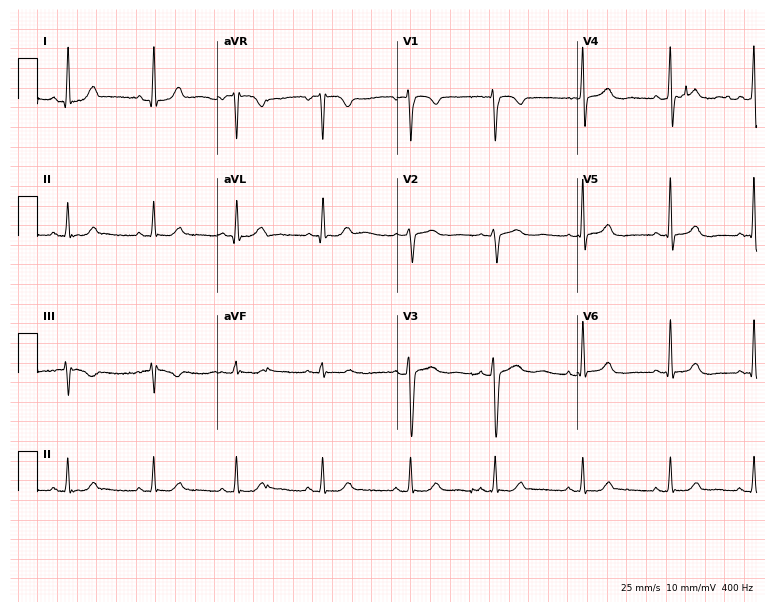
12-lead ECG (7.3-second recording at 400 Hz) from a female, 47 years old. Labelled as a normal ECG.